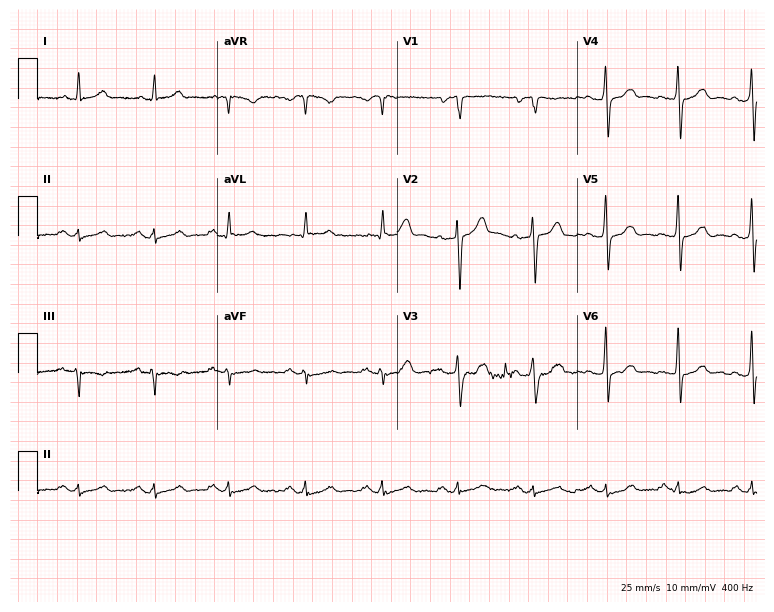
Standard 12-lead ECG recorded from a male patient, 56 years old (7.3-second recording at 400 Hz). Read as a normal ECG.